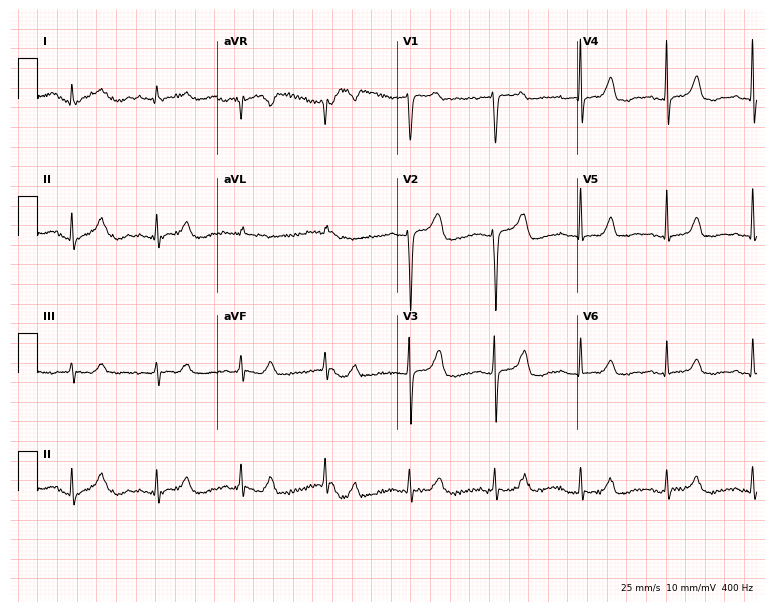
12-lead ECG from a male, 47 years old (7.3-second recording at 400 Hz). No first-degree AV block, right bundle branch block (RBBB), left bundle branch block (LBBB), sinus bradycardia, atrial fibrillation (AF) or sinus tachycardia recorded for this tracing.